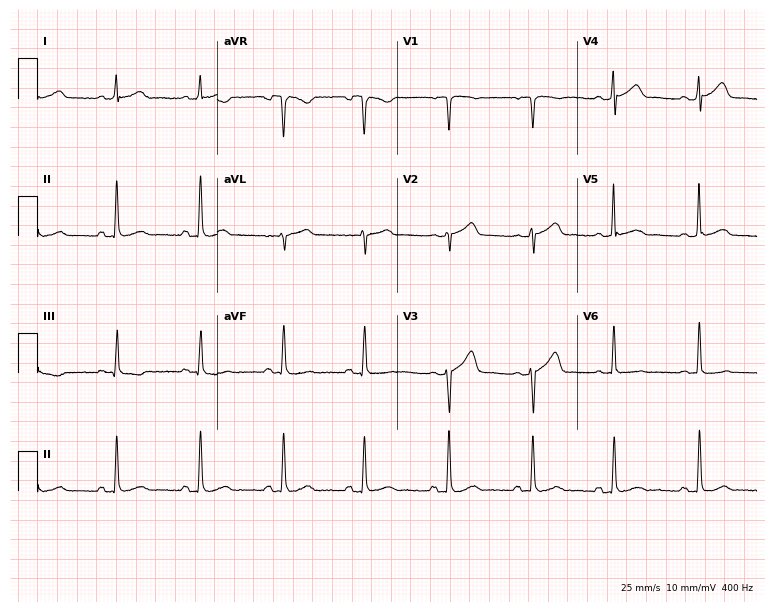
Resting 12-lead electrocardiogram. Patient: a 53-year-old female. Read as a normal ECG.